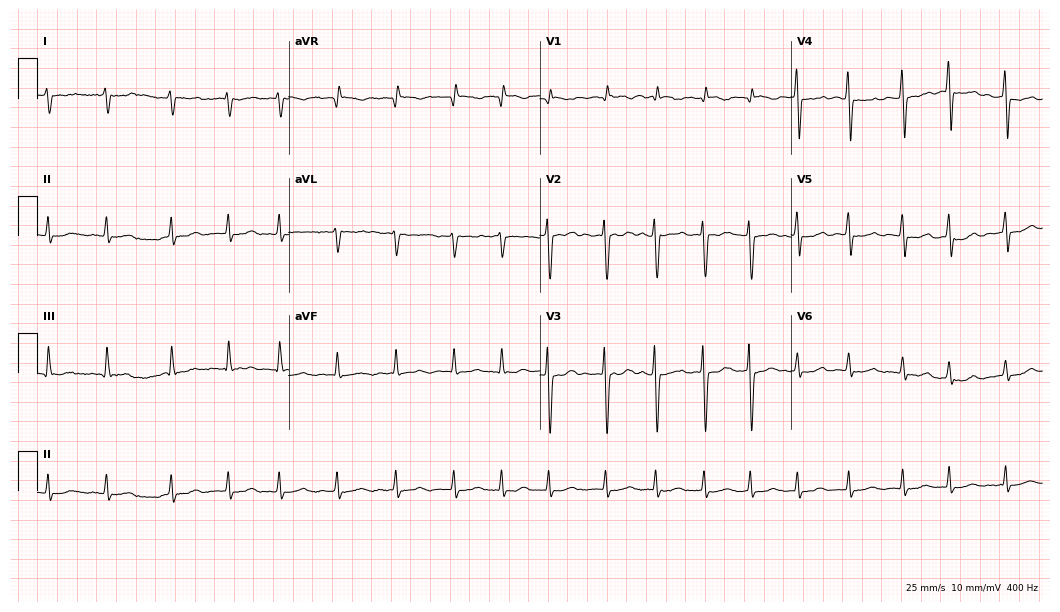
12-lead ECG from a 61-year-old female. Shows atrial fibrillation.